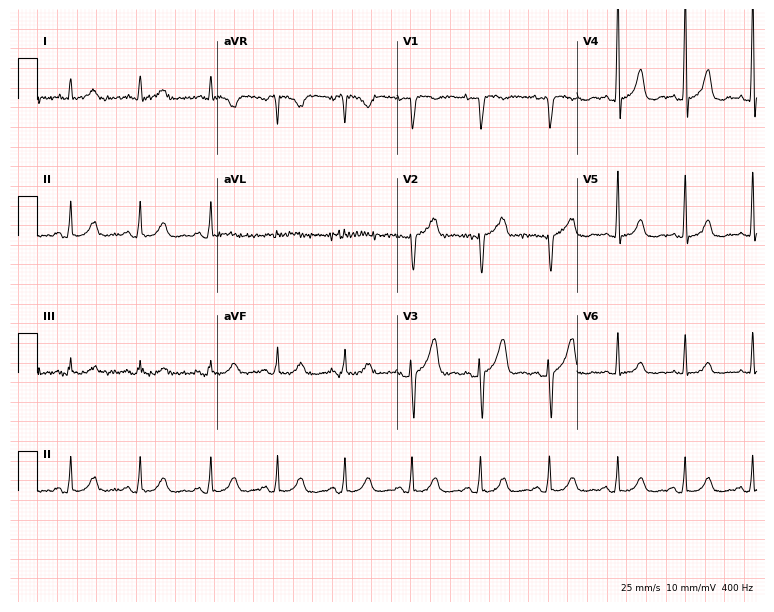
ECG — a 70-year-old male. Screened for six findings — first-degree AV block, right bundle branch block (RBBB), left bundle branch block (LBBB), sinus bradycardia, atrial fibrillation (AF), sinus tachycardia — none is recorded.